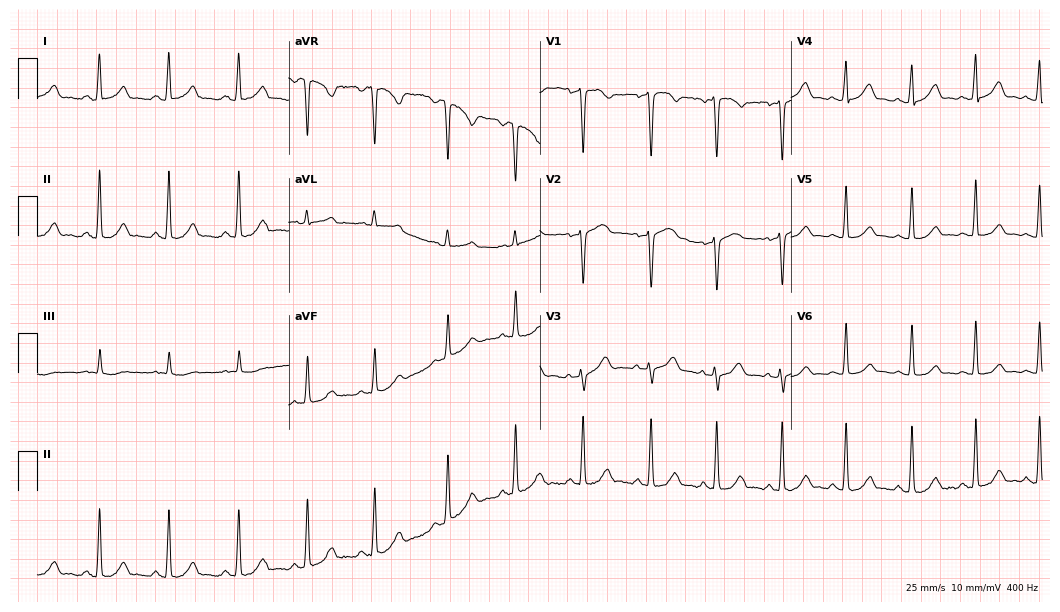
Resting 12-lead electrocardiogram (10.2-second recording at 400 Hz). Patient: a 33-year-old female. None of these six findings is recorded: first-degree AV block, right bundle branch block (RBBB), left bundle branch block (LBBB), sinus bradycardia, atrial fibrillation (AF), sinus tachycardia. Only these six findings were labelled.